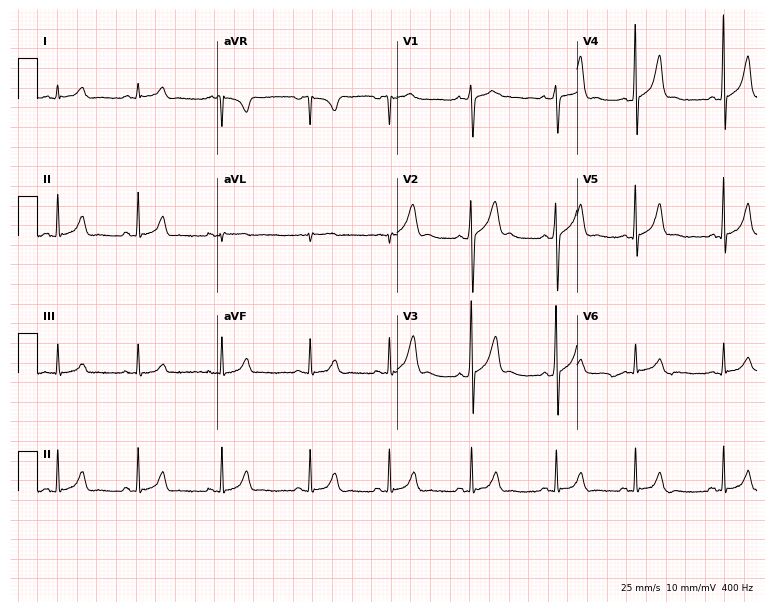
Resting 12-lead electrocardiogram (7.3-second recording at 400 Hz). Patient: a man, 22 years old. None of these six findings is recorded: first-degree AV block, right bundle branch block, left bundle branch block, sinus bradycardia, atrial fibrillation, sinus tachycardia.